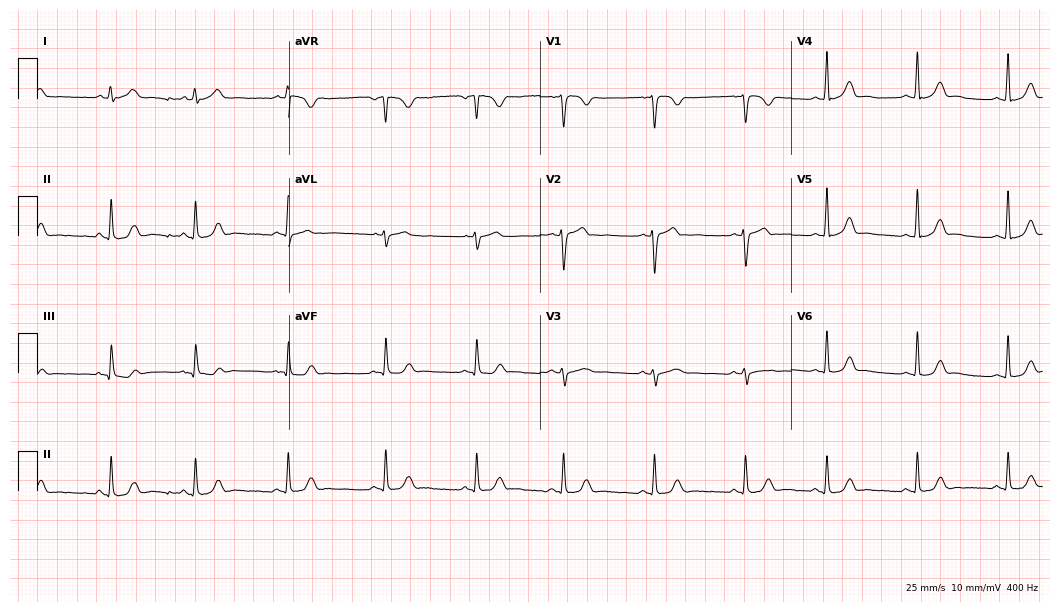
Electrocardiogram (10.2-second recording at 400 Hz), a 22-year-old female patient. Overall reading on record: normal ECG.